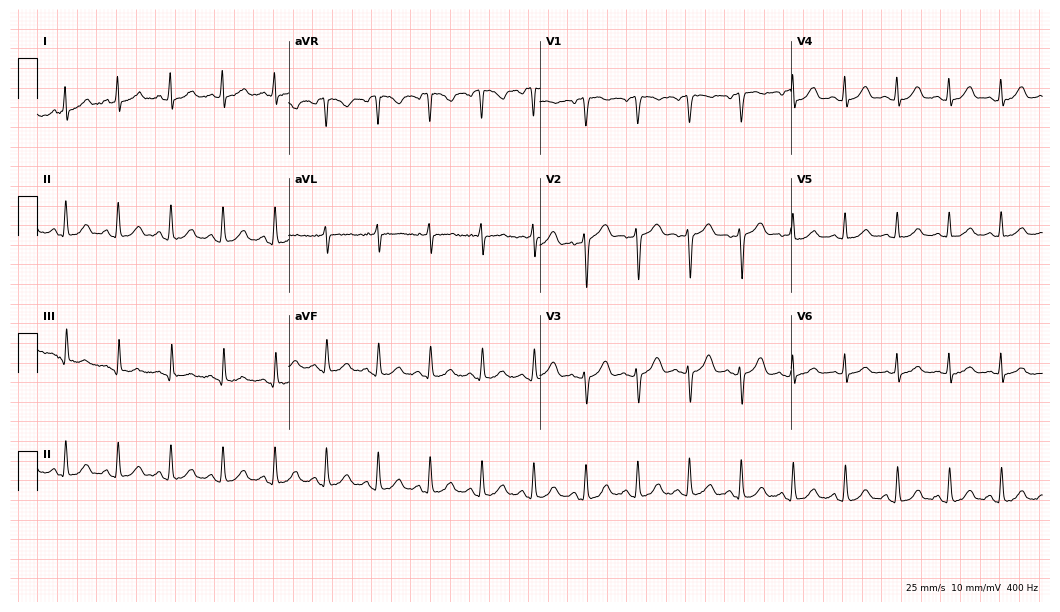
Standard 12-lead ECG recorded from a 45-year-old female patient (10.2-second recording at 400 Hz). The tracing shows sinus tachycardia (a sinus rate of 100 beats per minute or more).